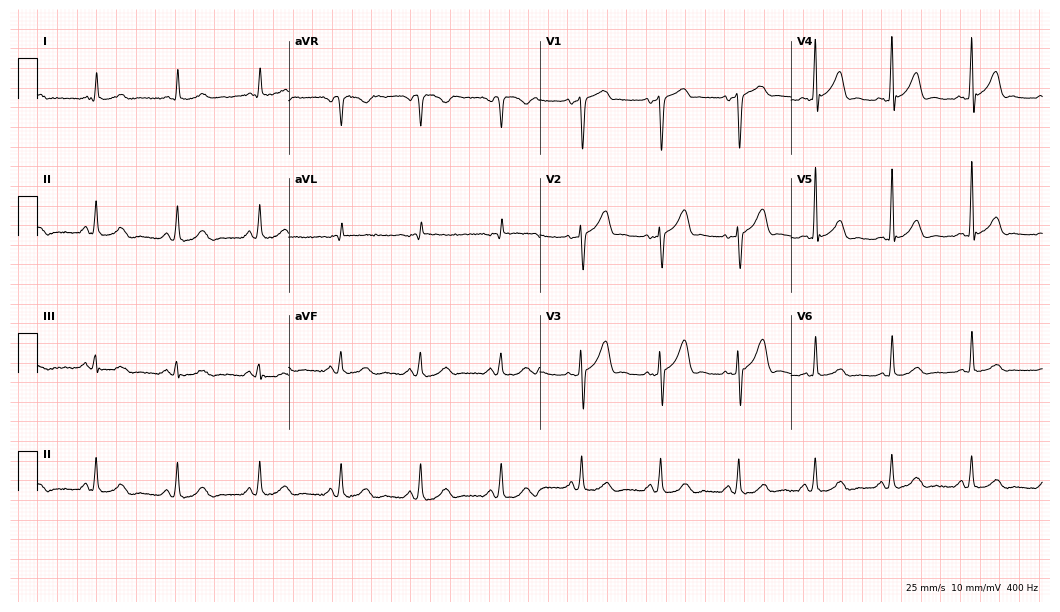
Standard 12-lead ECG recorded from a male, 66 years old. None of these six findings is recorded: first-degree AV block, right bundle branch block, left bundle branch block, sinus bradycardia, atrial fibrillation, sinus tachycardia. Findings outside these six are not listed.